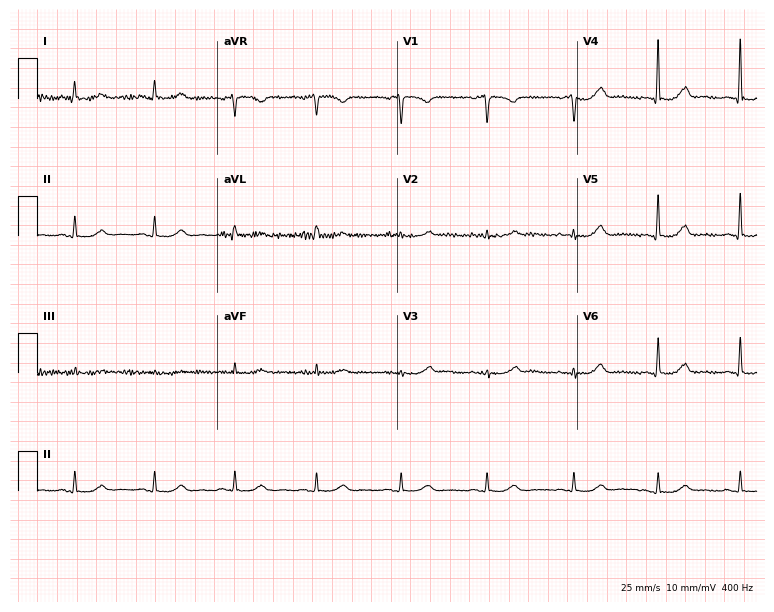
ECG — a woman, 48 years old. Screened for six findings — first-degree AV block, right bundle branch block, left bundle branch block, sinus bradycardia, atrial fibrillation, sinus tachycardia — none is recorded. Only these six findings were labelled.